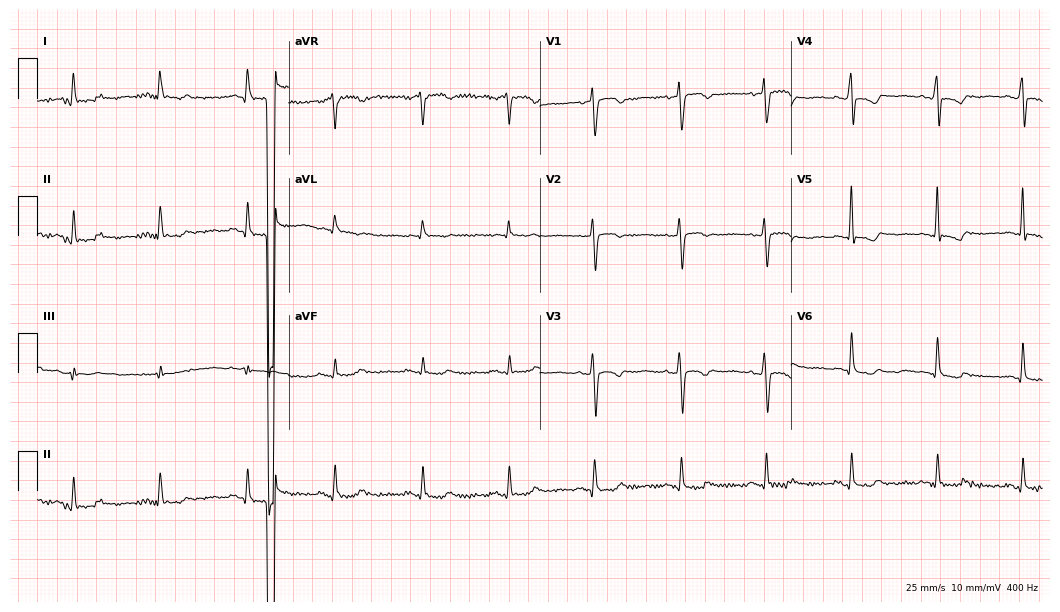
Resting 12-lead electrocardiogram (10.2-second recording at 400 Hz). Patient: a female, 59 years old. None of these six findings is recorded: first-degree AV block, right bundle branch block, left bundle branch block, sinus bradycardia, atrial fibrillation, sinus tachycardia. Other findings, if any, are not listed.